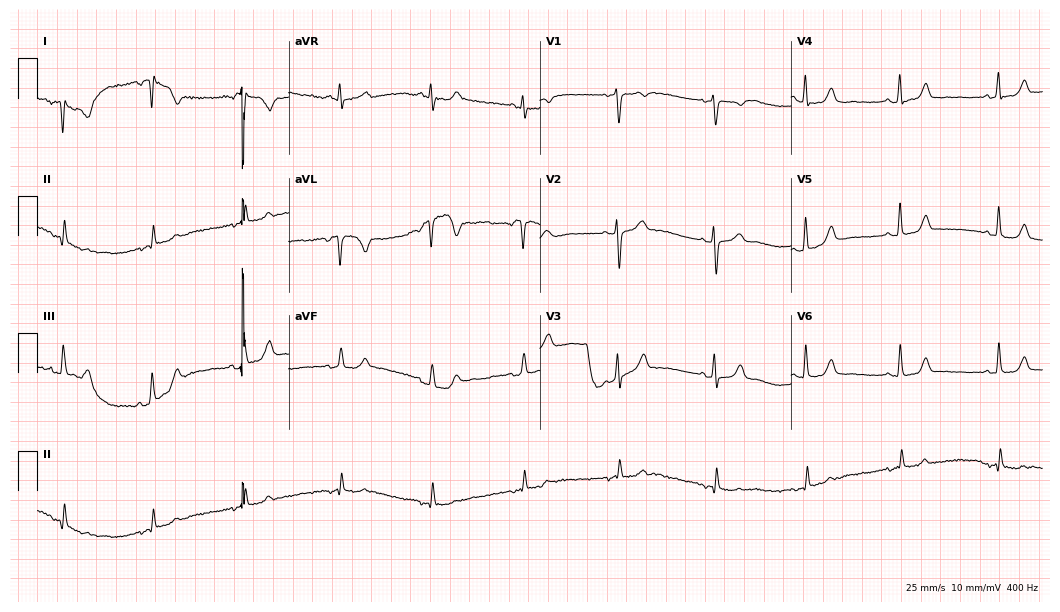
12-lead ECG (10.2-second recording at 400 Hz) from a 54-year-old female. Screened for six findings — first-degree AV block, right bundle branch block, left bundle branch block, sinus bradycardia, atrial fibrillation, sinus tachycardia — none is recorded.